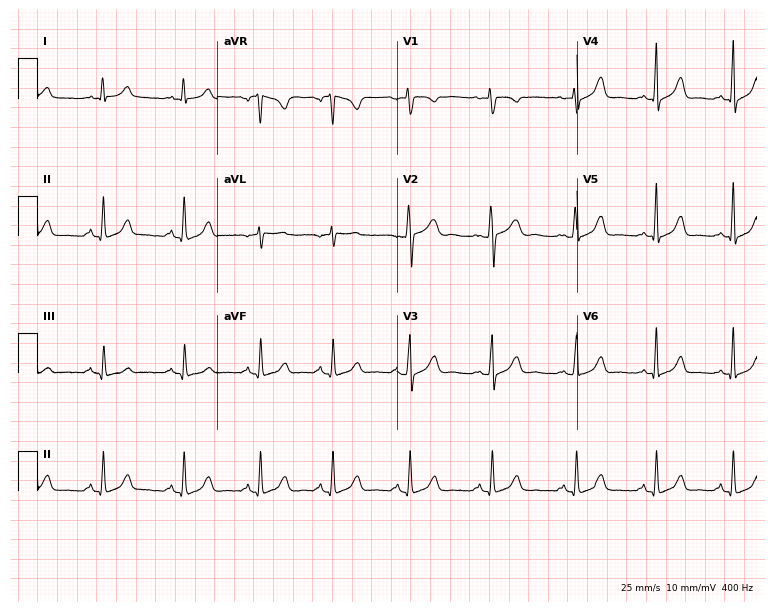
ECG (7.3-second recording at 400 Hz) — a woman, 38 years old. Labelled as a normal ECG.